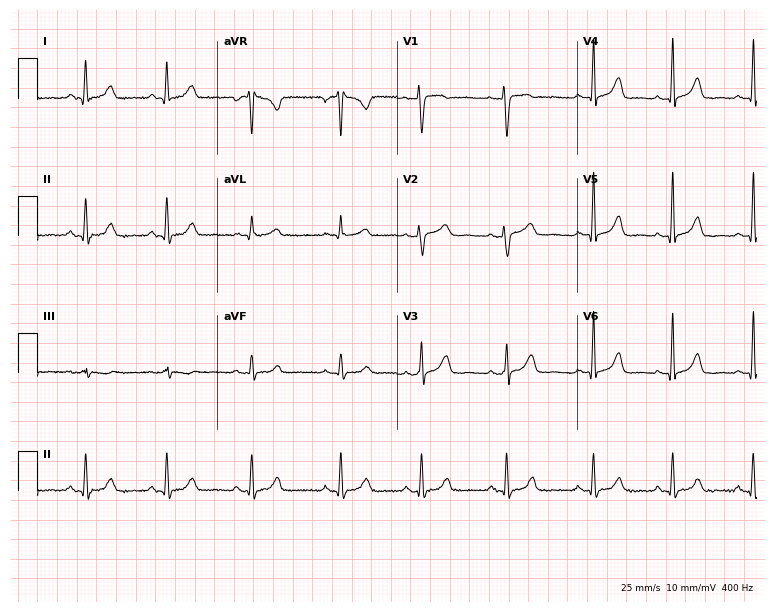
ECG — a female, 37 years old. Labelled as a normal ECG.